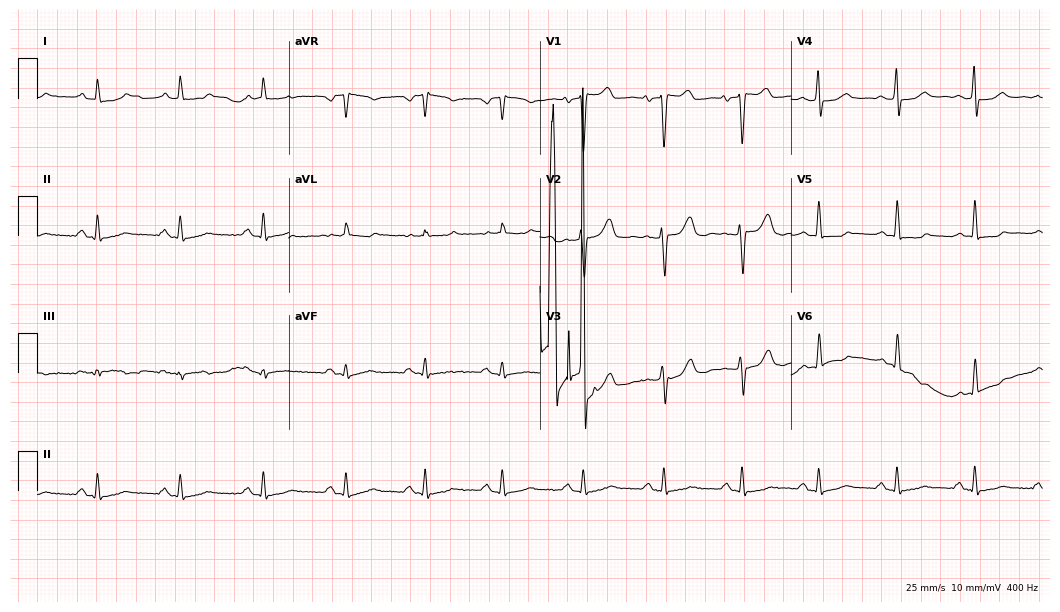
12-lead ECG from a 67-year-old woman (10.2-second recording at 400 Hz). No first-degree AV block, right bundle branch block (RBBB), left bundle branch block (LBBB), sinus bradycardia, atrial fibrillation (AF) or sinus tachycardia recorded for this tracing. Only these six findings were labelled.